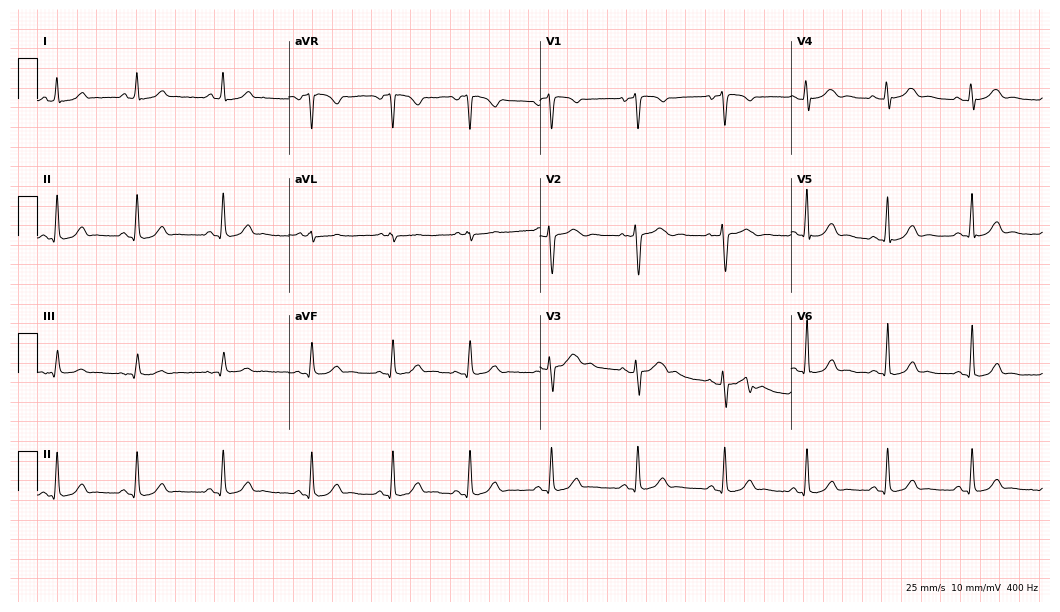
ECG (10.2-second recording at 400 Hz) — a 24-year-old female. Labelled as a normal ECG.